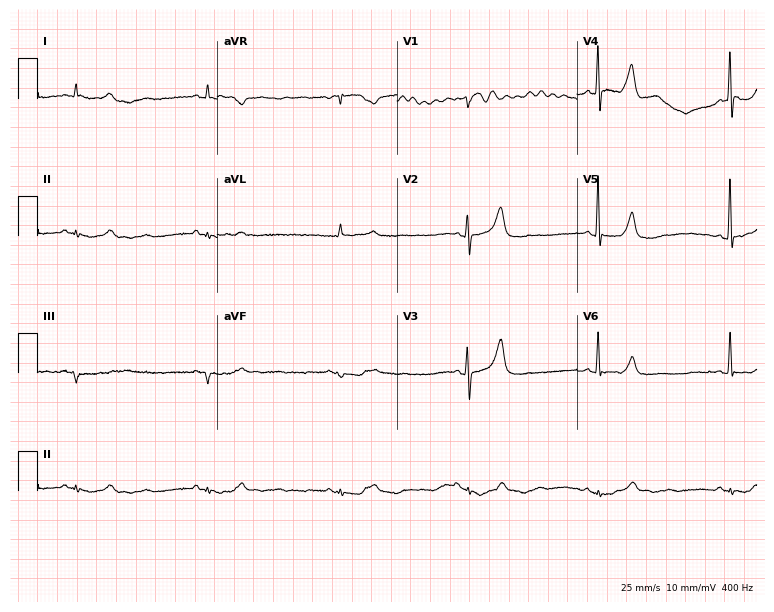
Standard 12-lead ECG recorded from an 82-year-old male patient. The tracing shows sinus bradycardia (a sinus rate of 50 beats per minute or less).